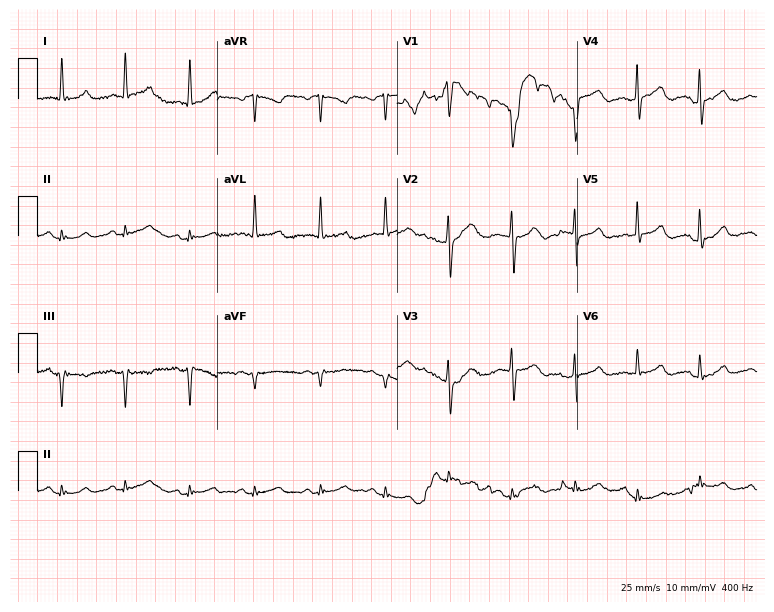
Electrocardiogram (7.3-second recording at 400 Hz), a 60-year-old woman. Of the six screened findings (first-degree AV block, right bundle branch block, left bundle branch block, sinus bradycardia, atrial fibrillation, sinus tachycardia), none is recorded.